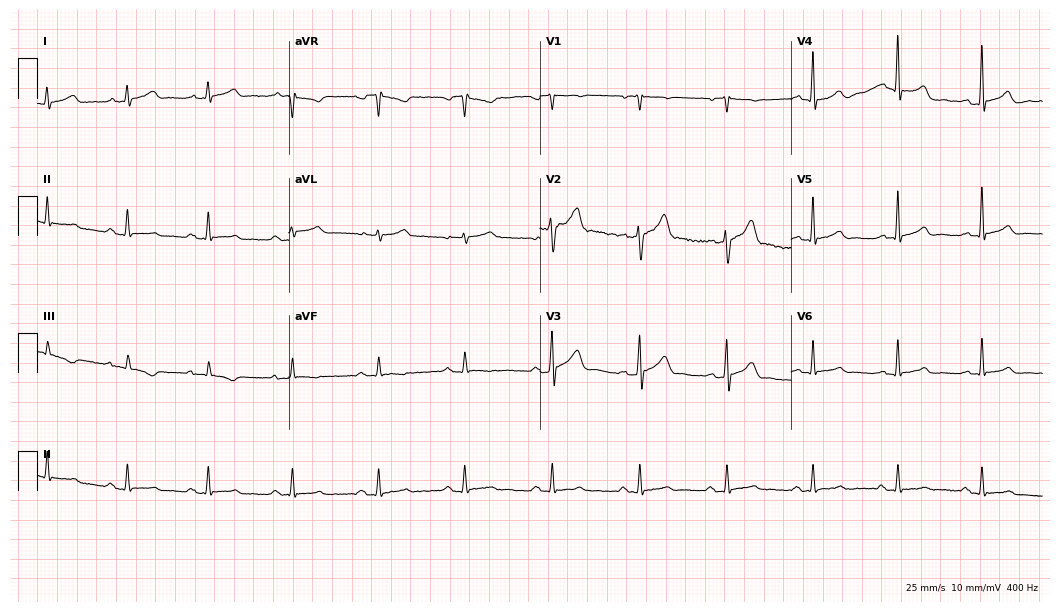
Resting 12-lead electrocardiogram (10.2-second recording at 400 Hz). Patient: a 39-year-old male. Read as a normal ECG.